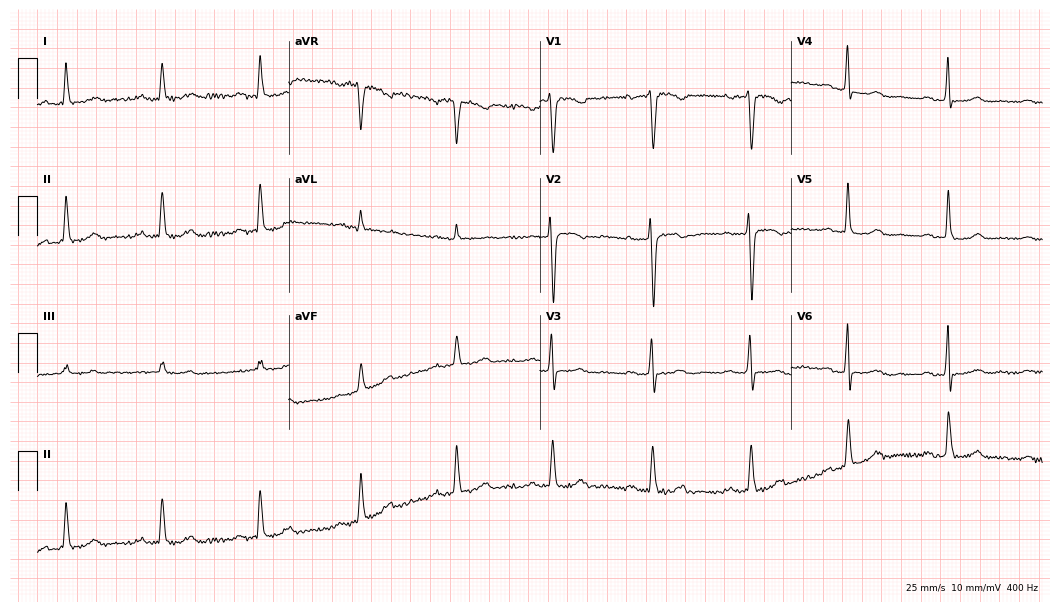
Electrocardiogram, a 32-year-old female patient. Of the six screened findings (first-degree AV block, right bundle branch block (RBBB), left bundle branch block (LBBB), sinus bradycardia, atrial fibrillation (AF), sinus tachycardia), none is recorded.